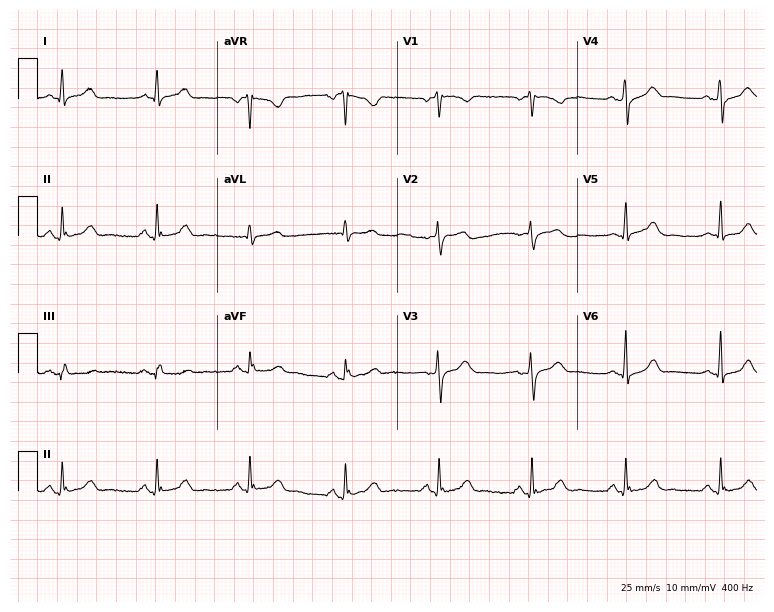
Standard 12-lead ECG recorded from a 59-year-old female (7.3-second recording at 400 Hz). Read as a normal ECG.